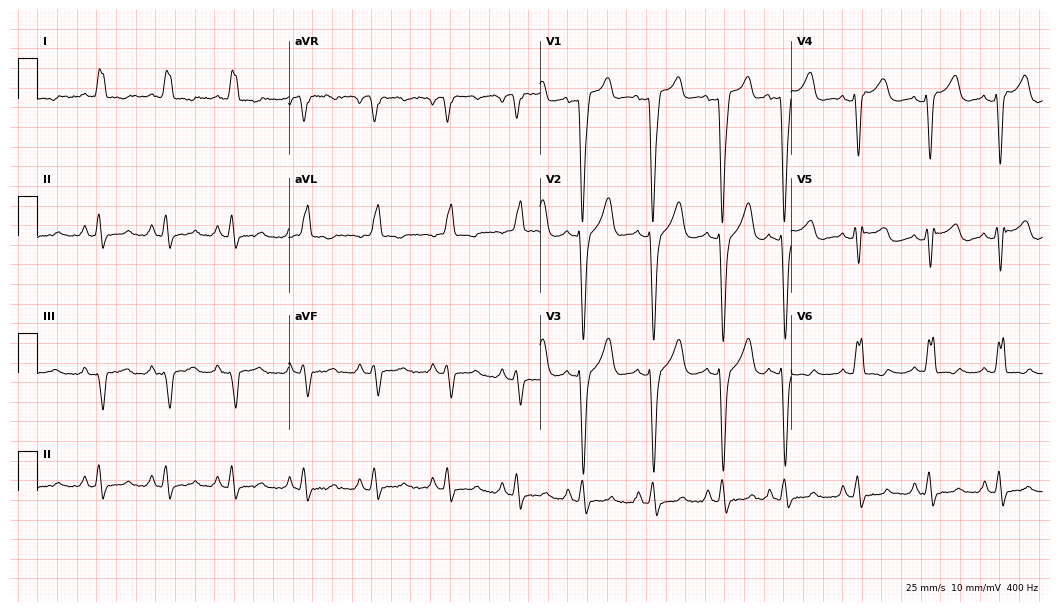
Electrocardiogram (10.2-second recording at 400 Hz), a female patient, 48 years old. Interpretation includes left bundle branch block.